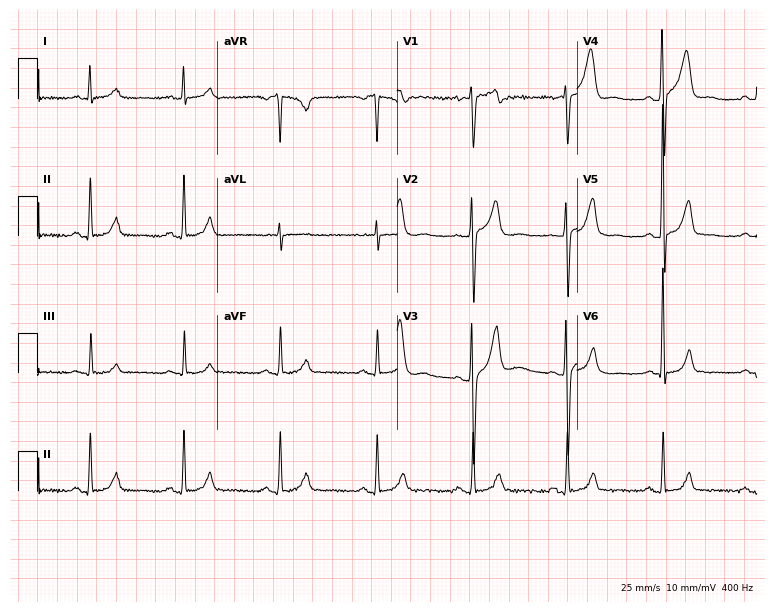
ECG (7.3-second recording at 400 Hz) — a 47-year-old male. Screened for six findings — first-degree AV block, right bundle branch block, left bundle branch block, sinus bradycardia, atrial fibrillation, sinus tachycardia — none is recorded. Only these six findings were labelled.